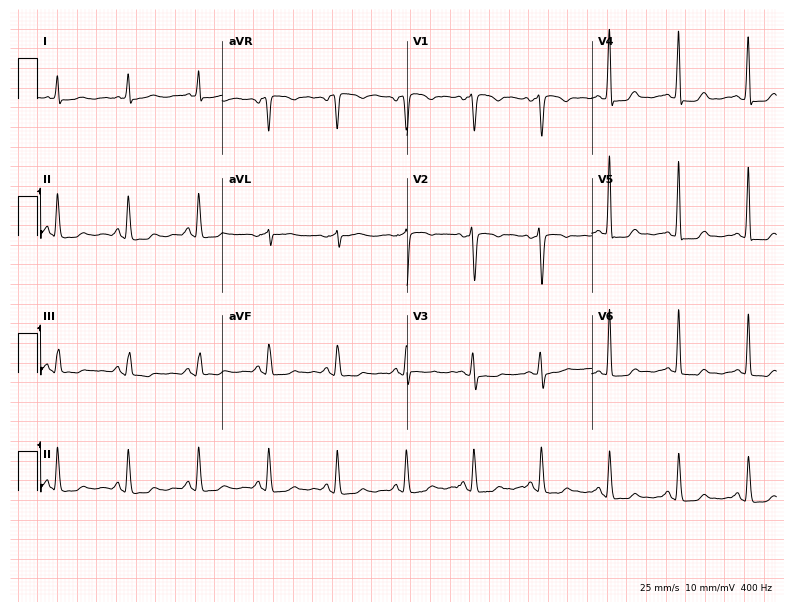
Electrocardiogram (7.5-second recording at 400 Hz), a female, 59 years old. Of the six screened findings (first-degree AV block, right bundle branch block, left bundle branch block, sinus bradycardia, atrial fibrillation, sinus tachycardia), none is recorded.